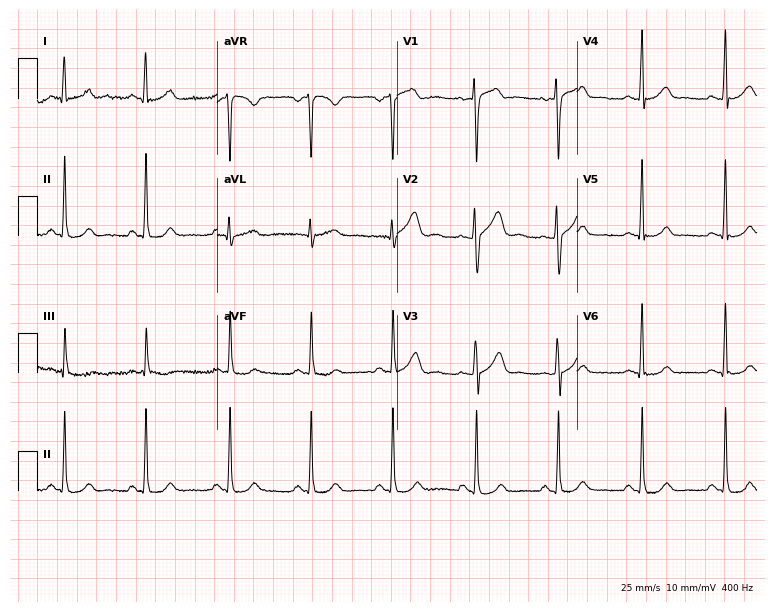
12-lead ECG from a 36-year-old woman. No first-degree AV block, right bundle branch block (RBBB), left bundle branch block (LBBB), sinus bradycardia, atrial fibrillation (AF) or sinus tachycardia recorded for this tracing. Only these six findings were labelled.